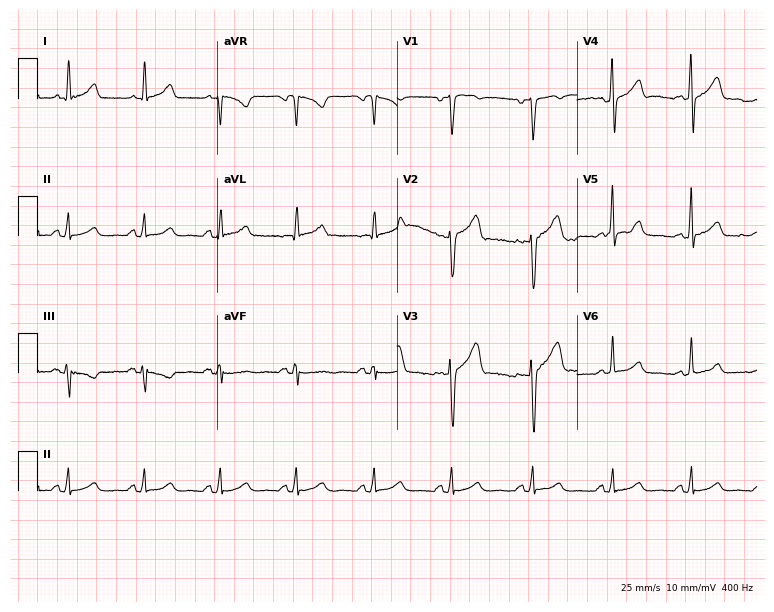
Electrocardiogram (7.3-second recording at 400 Hz), a man, 39 years old. Overall reading on record: normal ECG.